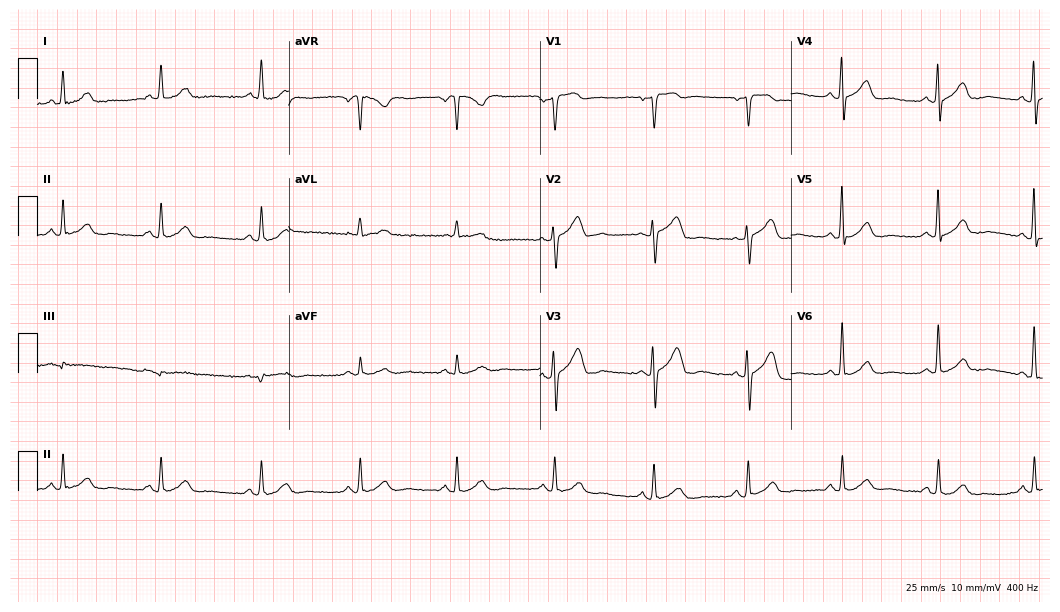
12-lead ECG from a 69-year-old female. Recorded interpretation: within normal limits.